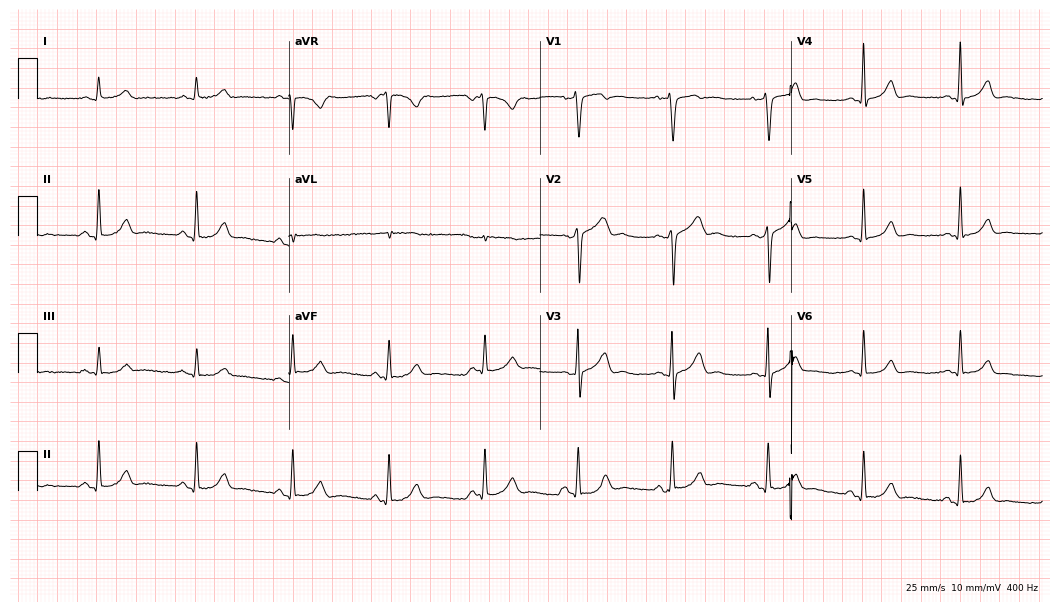
Electrocardiogram, a male, 59 years old. Of the six screened findings (first-degree AV block, right bundle branch block, left bundle branch block, sinus bradycardia, atrial fibrillation, sinus tachycardia), none is recorded. Only these six findings were labelled.